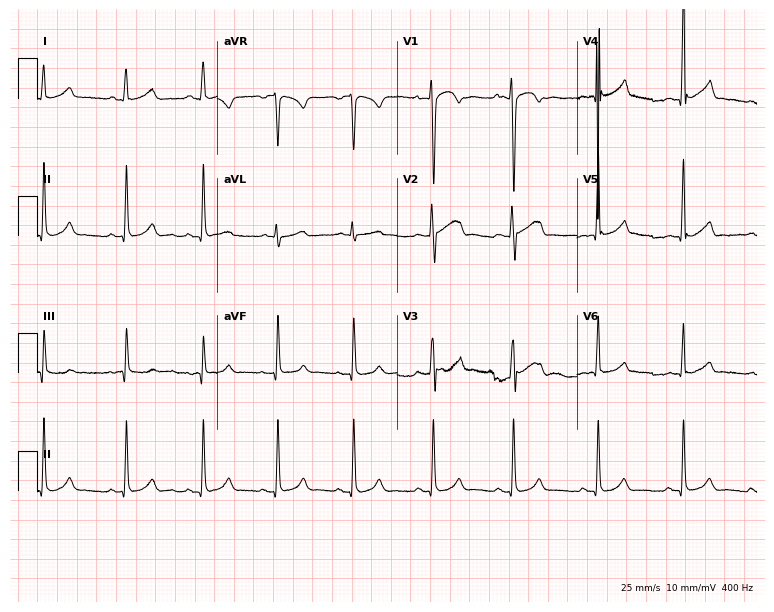
12-lead ECG (7.3-second recording at 400 Hz) from a 17-year-old male patient. Labelled as a normal ECG.